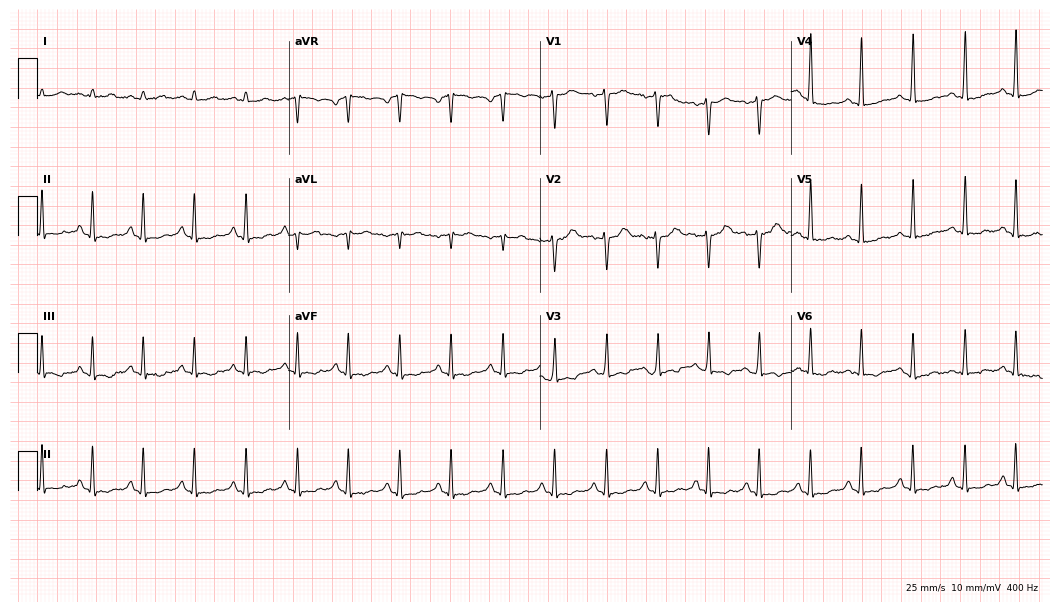
12-lead ECG from a 19-year-old woman. Shows sinus tachycardia (a sinus rate of 100 beats per minute or more).